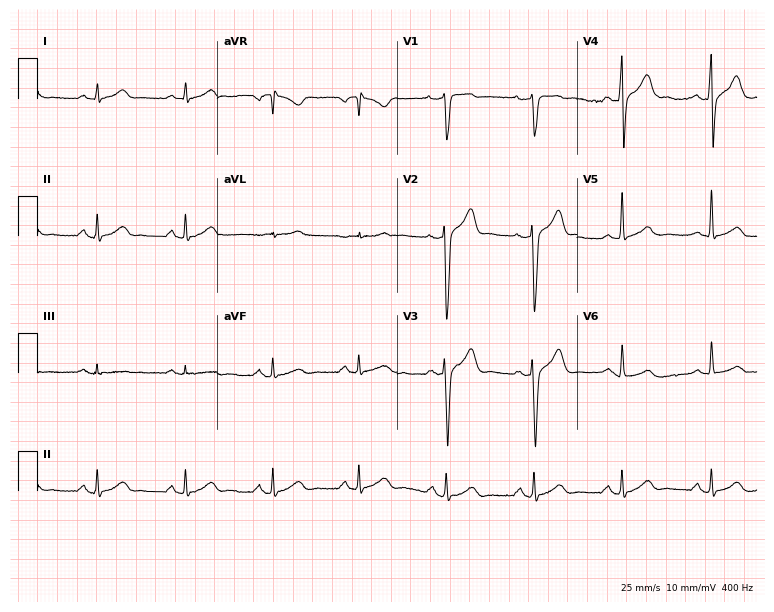
12-lead ECG from a 45-year-old man. Labelled as a normal ECG.